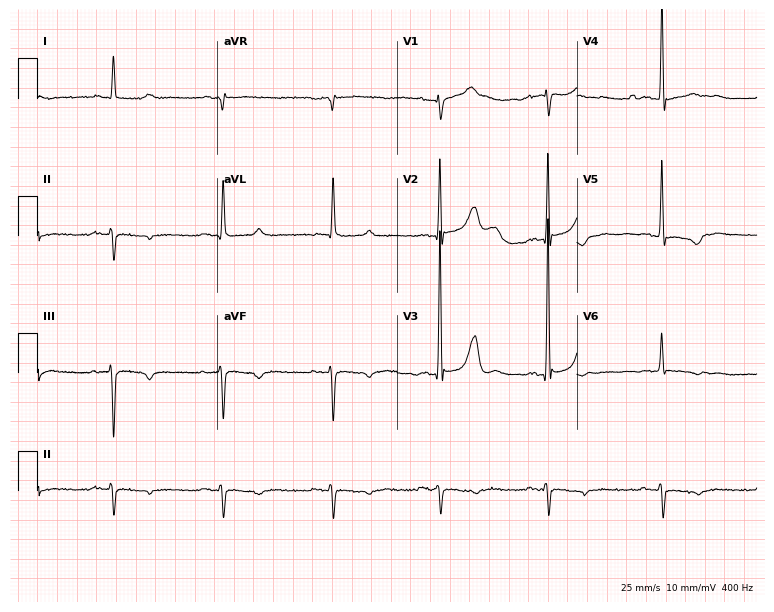
Standard 12-lead ECG recorded from a male, 80 years old (7.3-second recording at 400 Hz). None of these six findings is recorded: first-degree AV block, right bundle branch block, left bundle branch block, sinus bradycardia, atrial fibrillation, sinus tachycardia. Other findings, if any, are not listed.